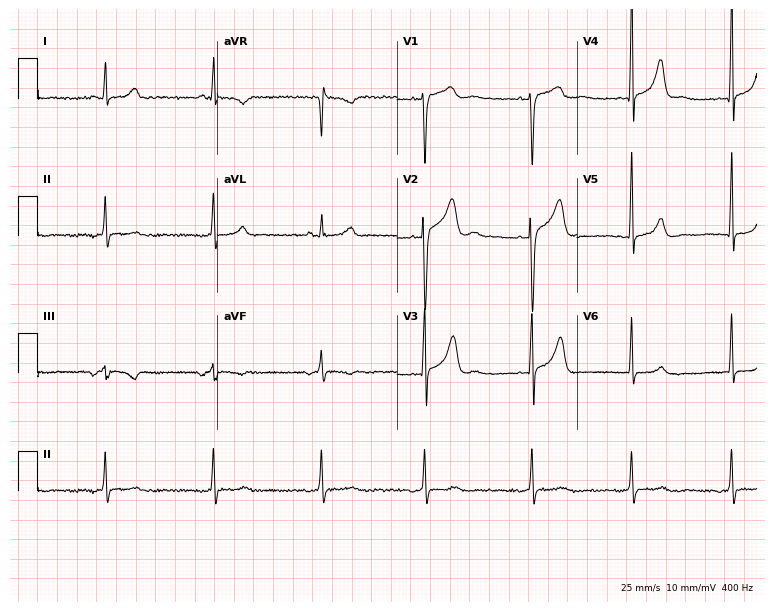
Standard 12-lead ECG recorded from a 33-year-old woman. None of these six findings is recorded: first-degree AV block, right bundle branch block, left bundle branch block, sinus bradycardia, atrial fibrillation, sinus tachycardia.